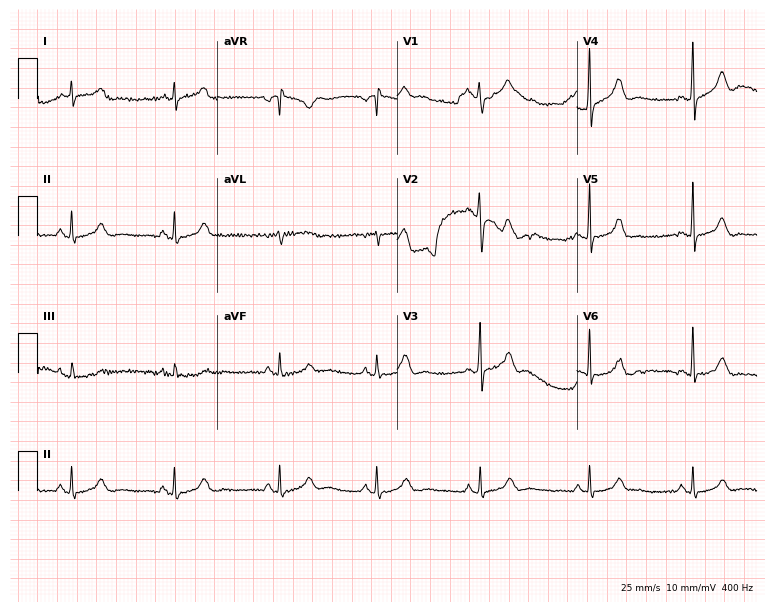
12-lead ECG from a female, 36 years old. Recorded interpretation: within normal limits.